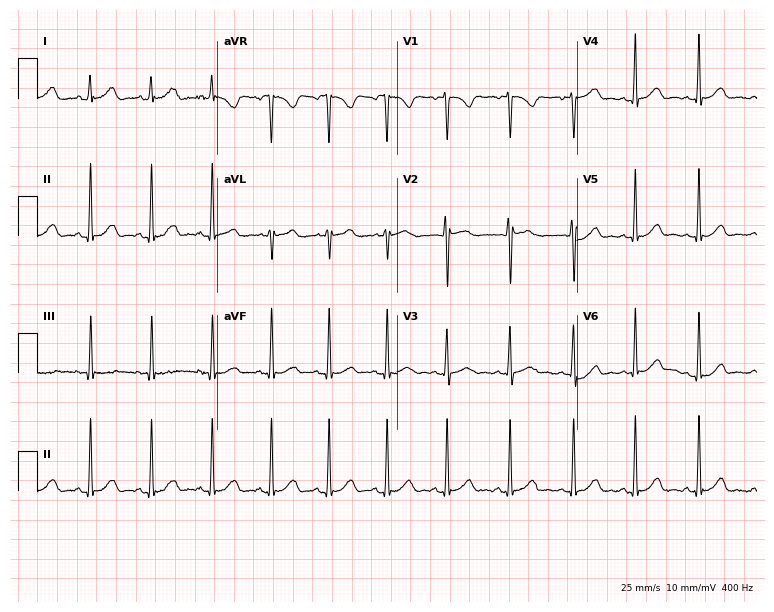
12-lead ECG from a female patient, 31 years old (7.3-second recording at 400 Hz). Recorded interpretation: within normal limits.